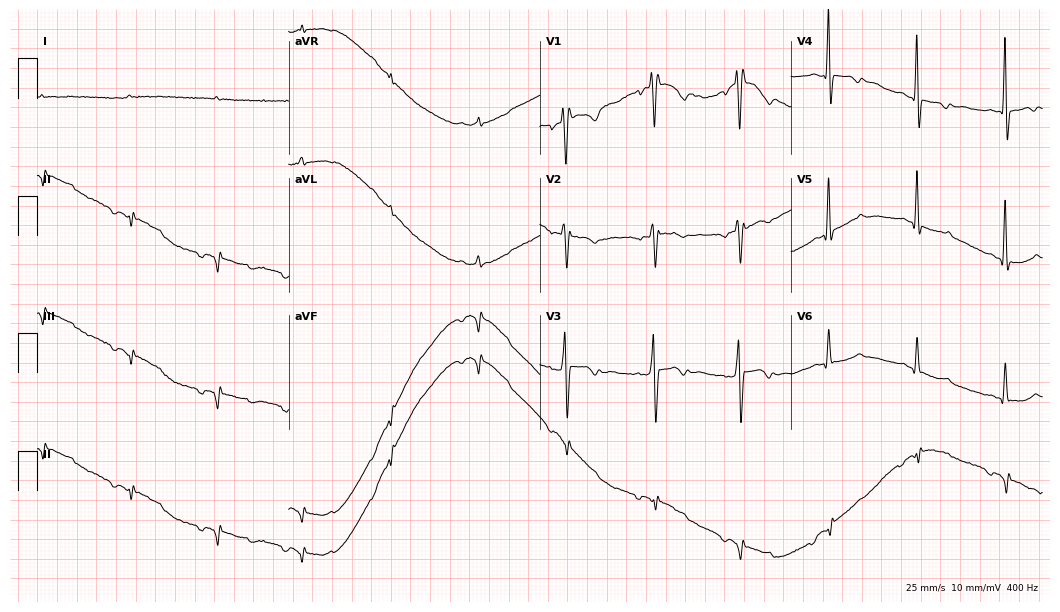
12-lead ECG (10.2-second recording at 400 Hz) from a female, 70 years old. Screened for six findings — first-degree AV block, right bundle branch block, left bundle branch block, sinus bradycardia, atrial fibrillation, sinus tachycardia — none is recorded. Only these six findings were labelled.